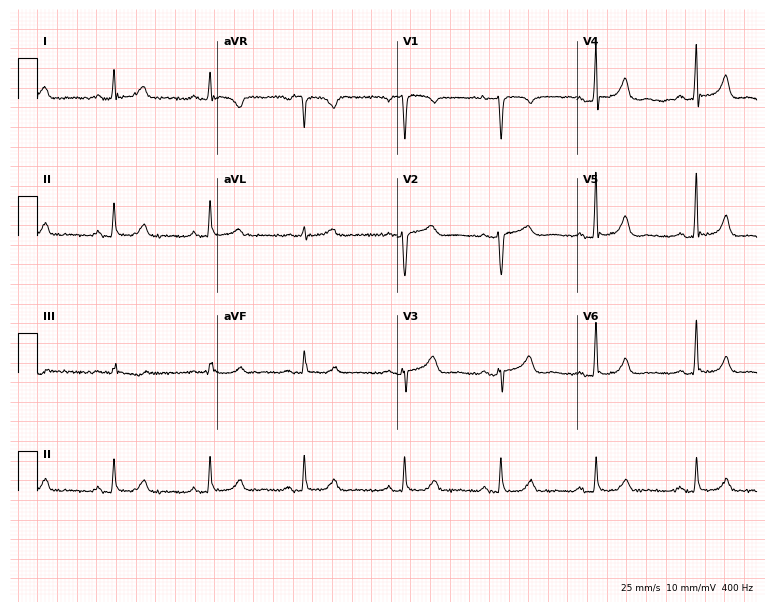
12-lead ECG from a female patient, 62 years old. Screened for six findings — first-degree AV block, right bundle branch block, left bundle branch block, sinus bradycardia, atrial fibrillation, sinus tachycardia — none is recorded. Other findings, if any, are not listed.